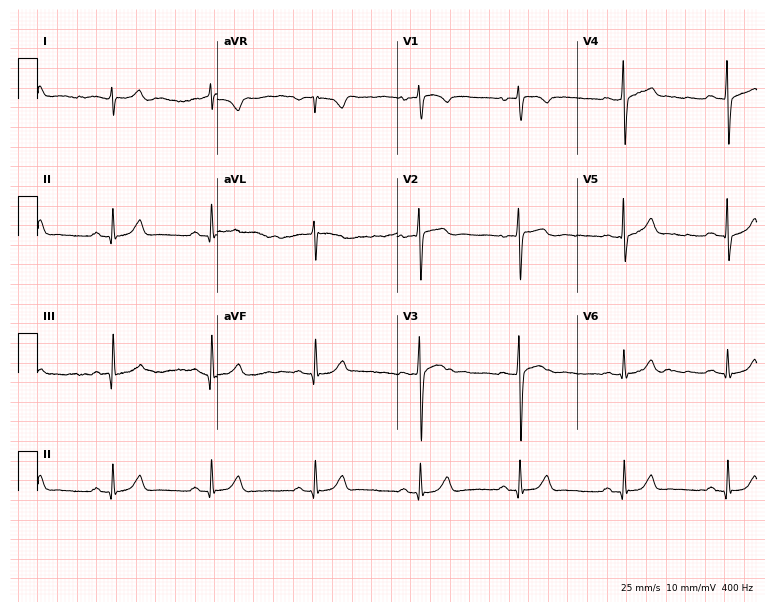
Resting 12-lead electrocardiogram (7.3-second recording at 400 Hz). Patient: a 24-year-old male. Read as a normal ECG.